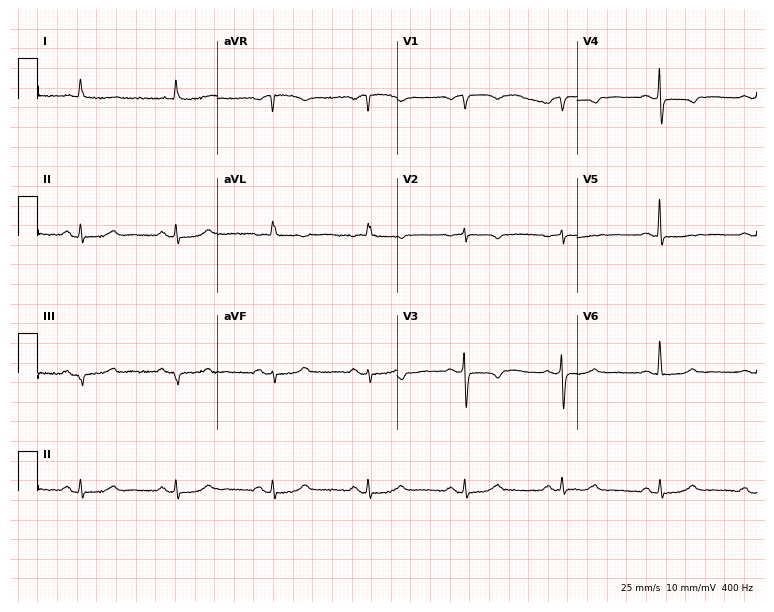
12-lead ECG from a woman, 82 years old. Screened for six findings — first-degree AV block, right bundle branch block, left bundle branch block, sinus bradycardia, atrial fibrillation, sinus tachycardia — none is recorded. Findings outside these six are not listed.